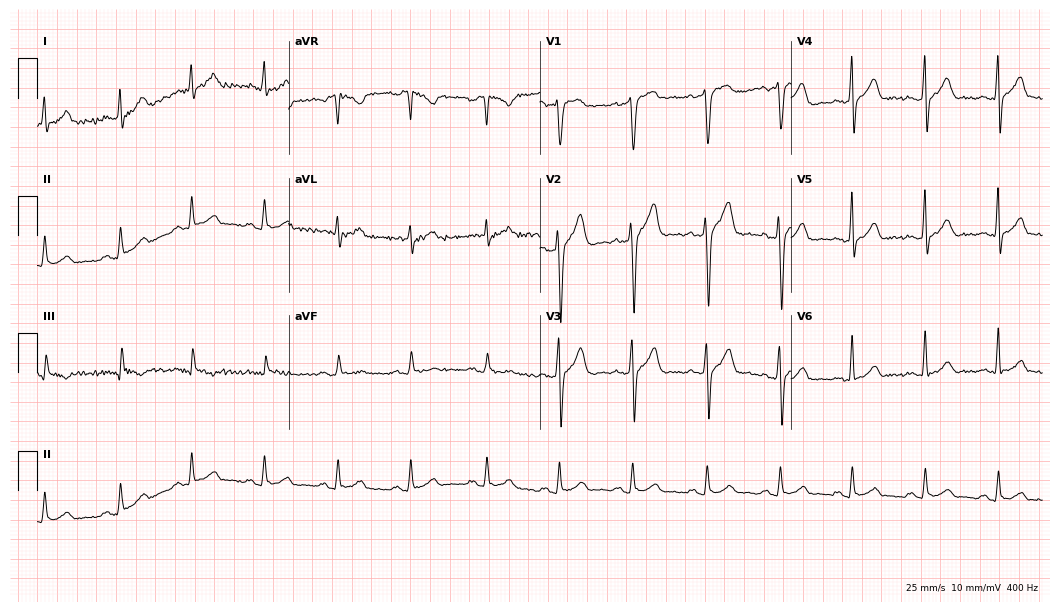
Electrocardiogram, a man, 31 years old. Overall reading on record: normal ECG.